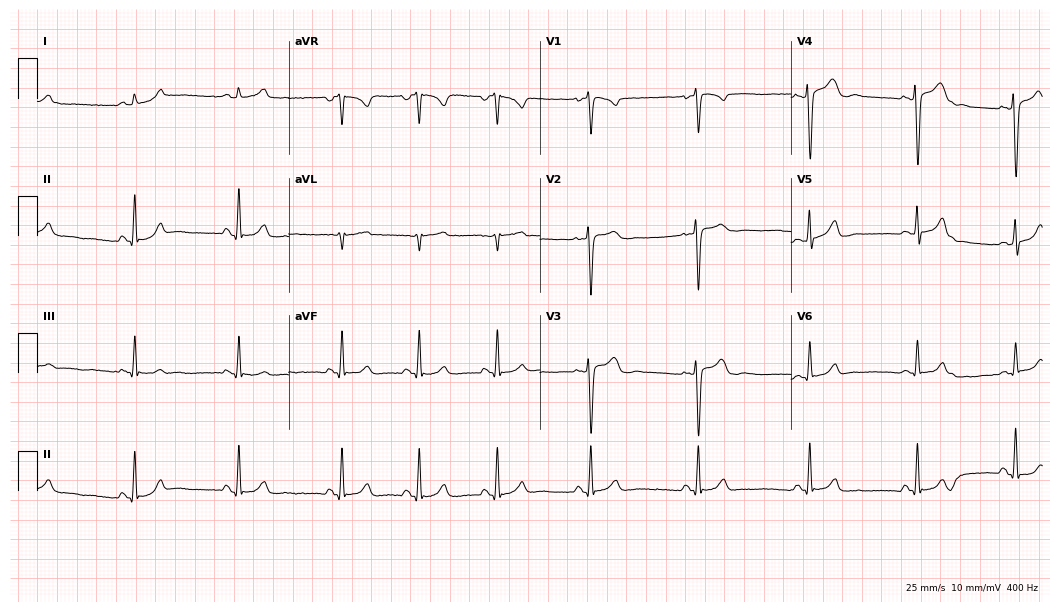
Resting 12-lead electrocardiogram. Patient: a 20-year-old female. None of these six findings is recorded: first-degree AV block, right bundle branch block, left bundle branch block, sinus bradycardia, atrial fibrillation, sinus tachycardia.